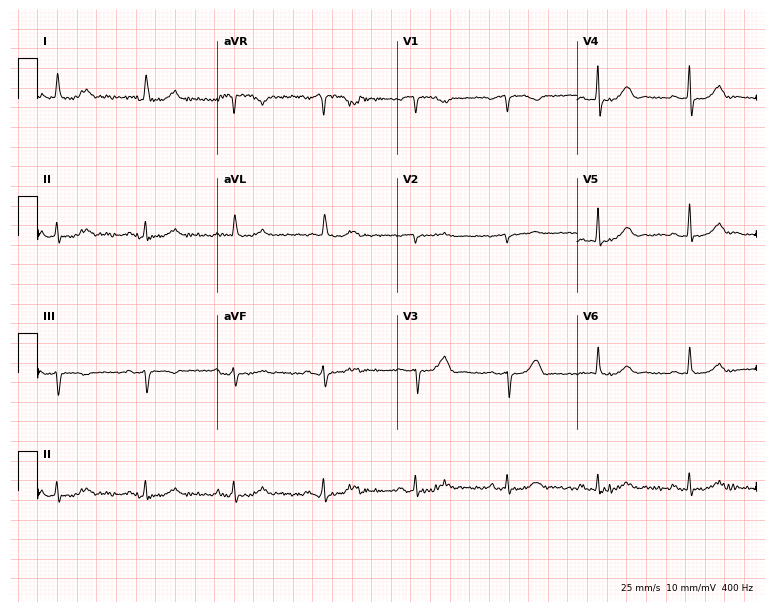
12-lead ECG (7.3-second recording at 400 Hz) from a 72-year-old female. Screened for six findings — first-degree AV block, right bundle branch block, left bundle branch block, sinus bradycardia, atrial fibrillation, sinus tachycardia — none is recorded. Other findings, if any, are not listed.